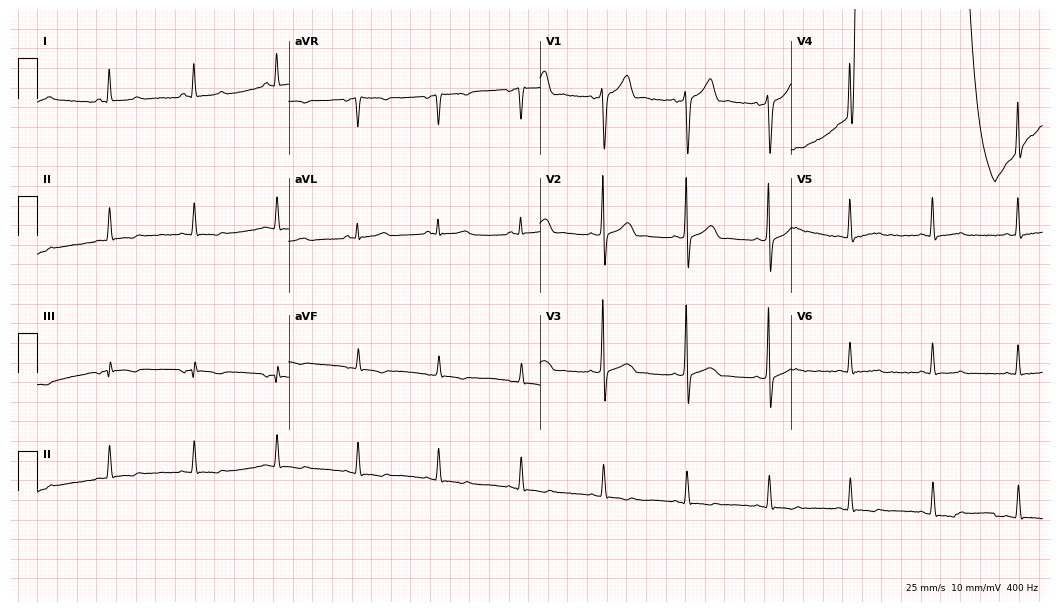
Electrocardiogram, a man, 73 years old. Overall reading on record: normal ECG.